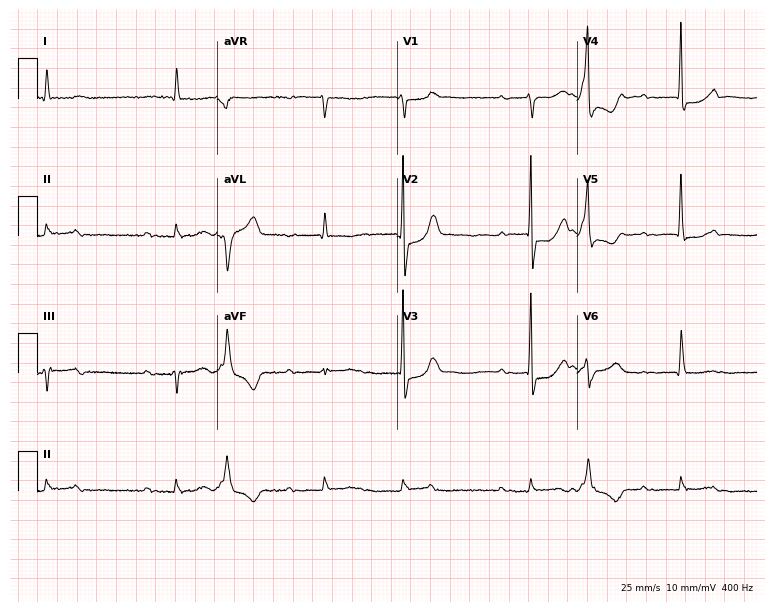
ECG (7.3-second recording at 400 Hz) — a male patient, 82 years old. Screened for six findings — first-degree AV block, right bundle branch block, left bundle branch block, sinus bradycardia, atrial fibrillation, sinus tachycardia — none is recorded. Other findings, if any, are not listed.